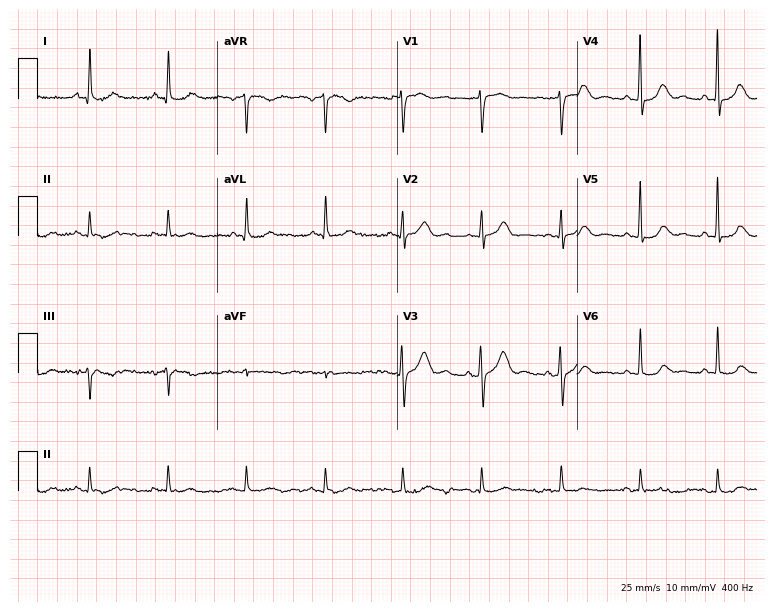
Electrocardiogram, a female patient, 70 years old. Overall reading on record: normal ECG.